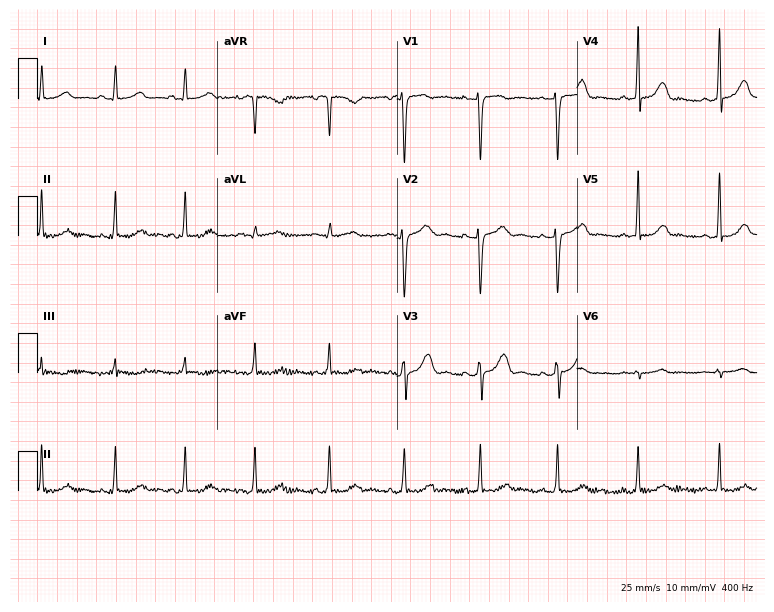
12-lead ECG (7.3-second recording at 400 Hz) from a female patient, 49 years old. Screened for six findings — first-degree AV block, right bundle branch block, left bundle branch block, sinus bradycardia, atrial fibrillation, sinus tachycardia — none is recorded.